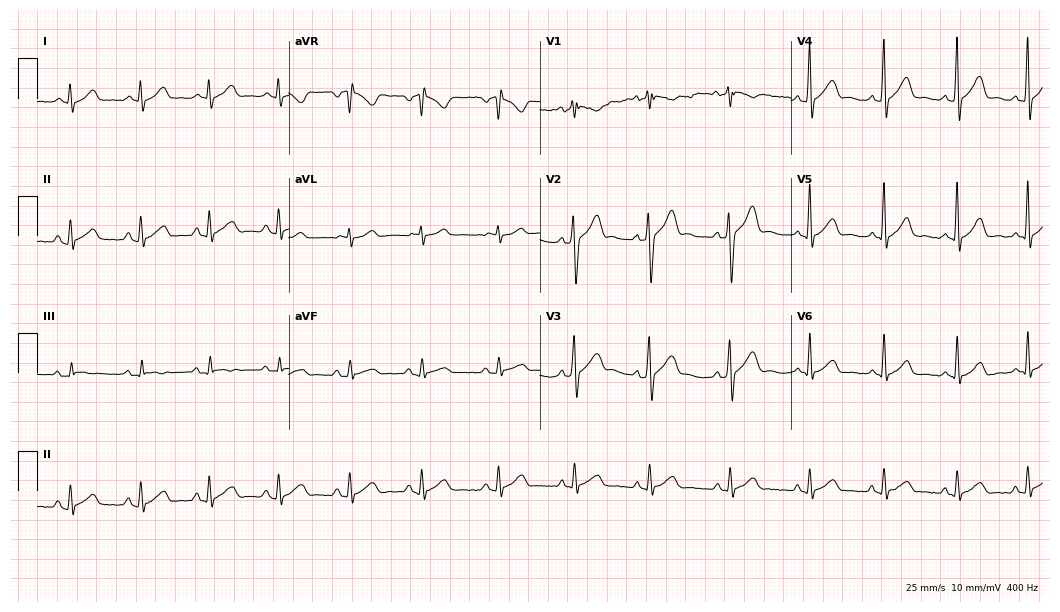
12-lead ECG from a male, 27 years old (10.2-second recording at 400 Hz). No first-degree AV block, right bundle branch block, left bundle branch block, sinus bradycardia, atrial fibrillation or sinus tachycardia recorded for this tracing.